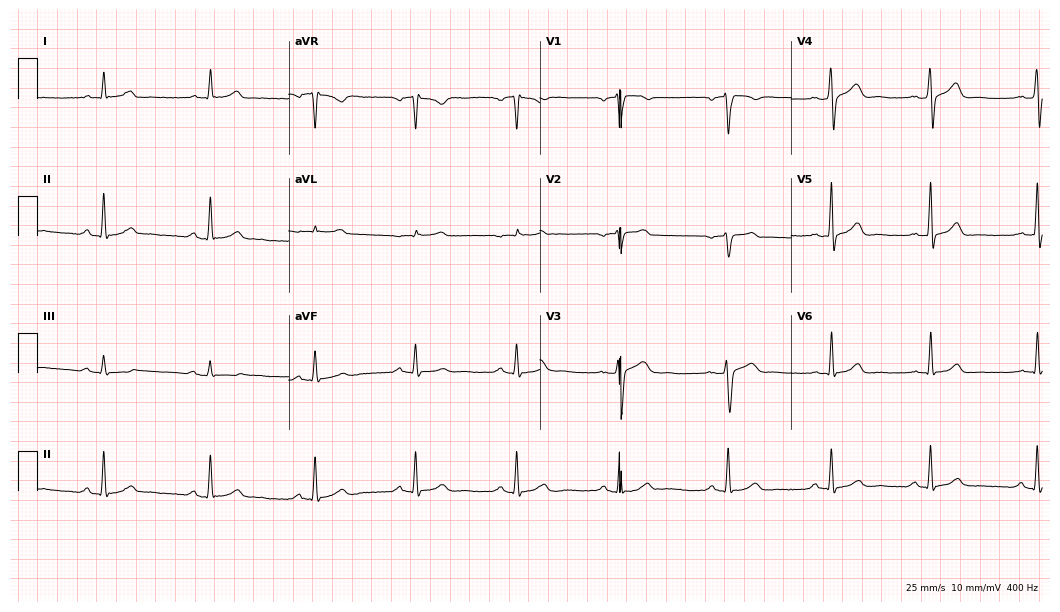
12-lead ECG (10.2-second recording at 400 Hz) from a 37-year-old man. Labelled as a normal ECG.